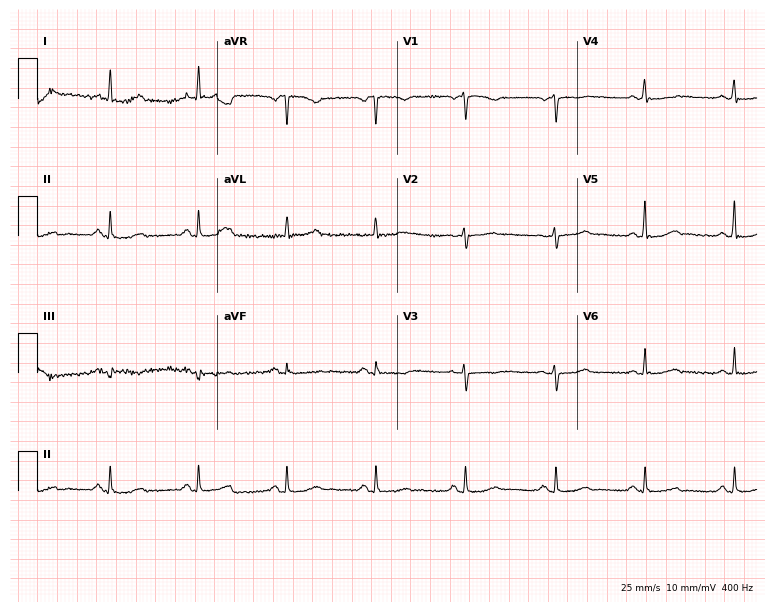
12-lead ECG (7.3-second recording at 400 Hz) from a female patient, 50 years old. Screened for six findings — first-degree AV block, right bundle branch block (RBBB), left bundle branch block (LBBB), sinus bradycardia, atrial fibrillation (AF), sinus tachycardia — none is recorded.